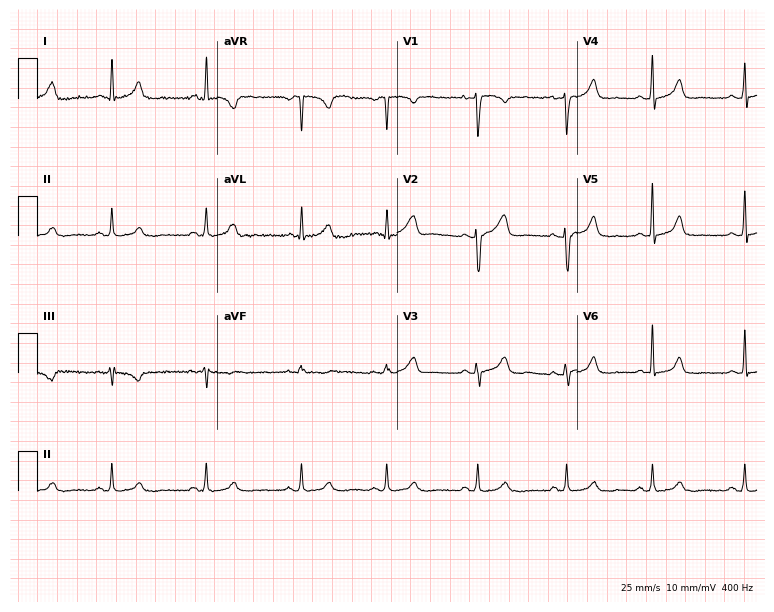
Resting 12-lead electrocardiogram (7.3-second recording at 400 Hz). Patient: a 40-year-old female. Read as a normal ECG.